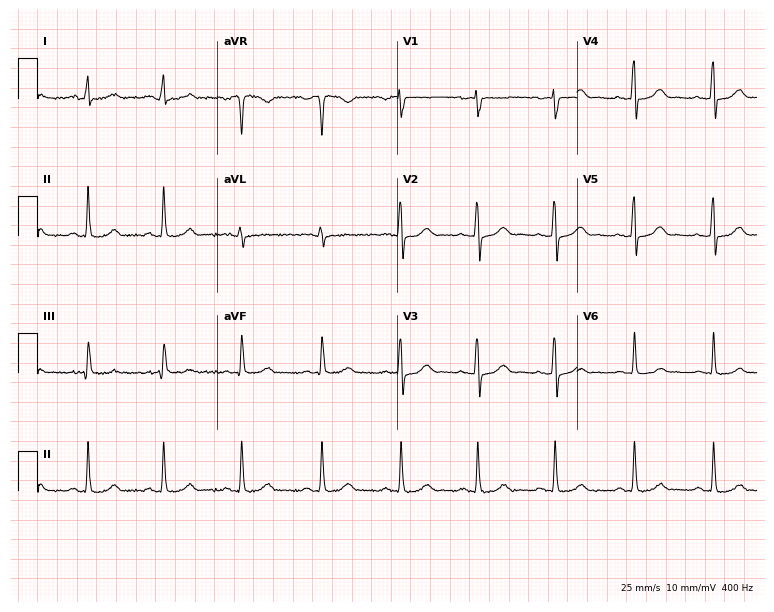
12-lead ECG (7.3-second recording at 400 Hz) from a female, 36 years old. Screened for six findings — first-degree AV block, right bundle branch block (RBBB), left bundle branch block (LBBB), sinus bradycardia, atrial fibrillation (AF), sinus tachycardia — none is recorded.